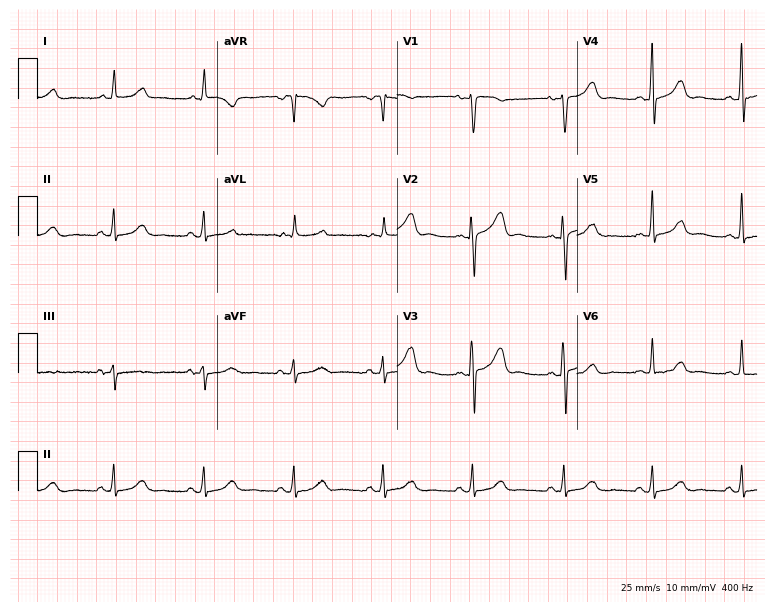
Resting 12-lead electrocardiogram (7.3-second recording at 400 Hz). Patient: a 45-year-old female. Read as a normal ECG.